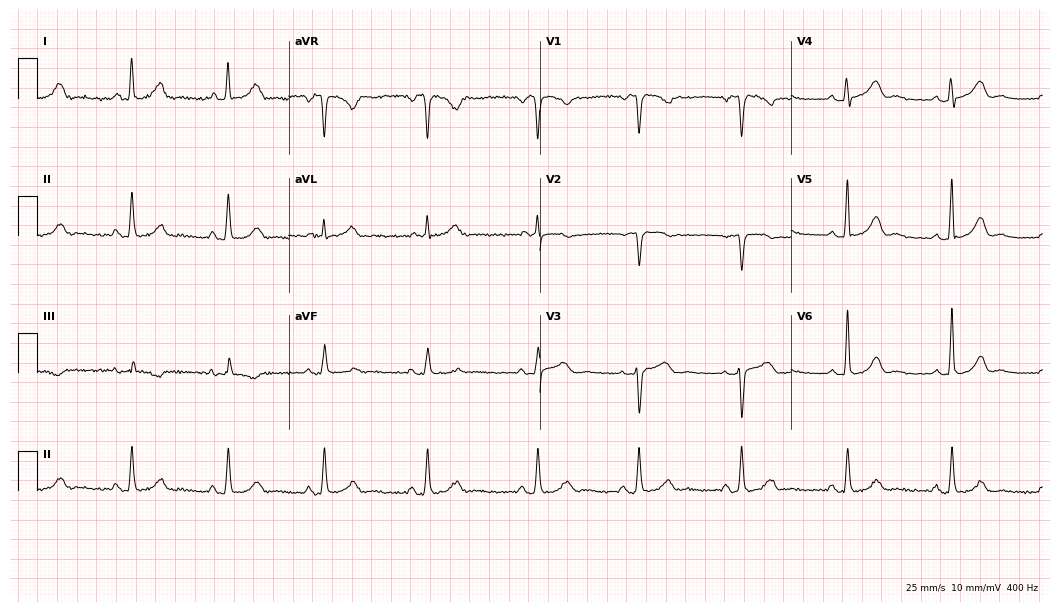
ECG — a female patient, 58 years old. Labelled as a normal ECG.